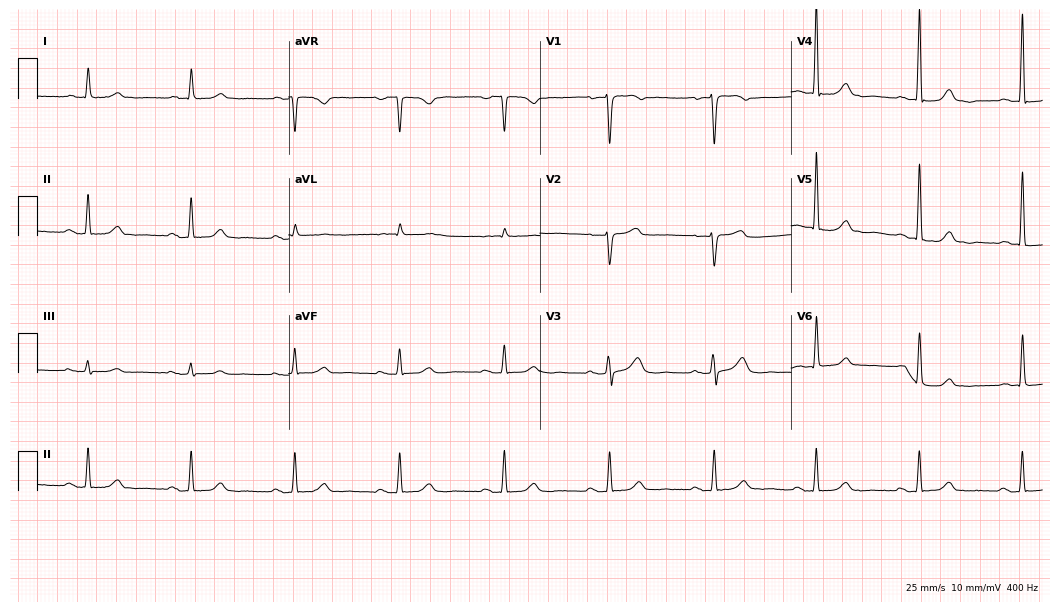
Standard 12-lead ECG recorded from a female patient, 71 years old (10.2-second recording at 400 Hz). None of these six findings is recorded: first-degree AV block, right bundle branch block, left bundle branch block, sinus bradycardia, atrial fibrillation, sinus tachycardia. Only these six findings were labelled.